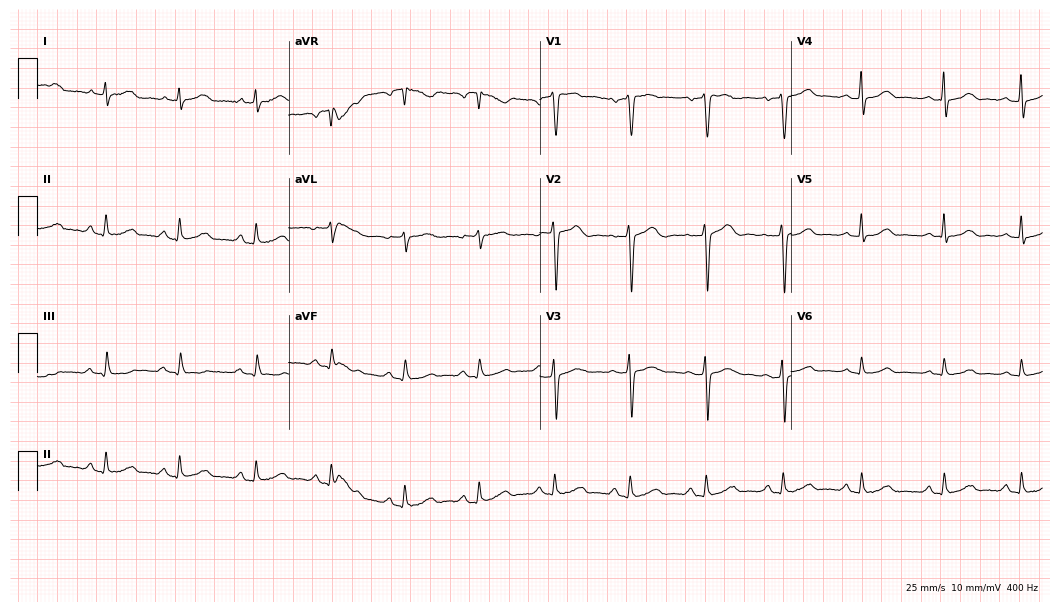
ECG (10.2-second recording at 400 Hz) — a male patient, 44 years old. Labelled as a normal ECG.